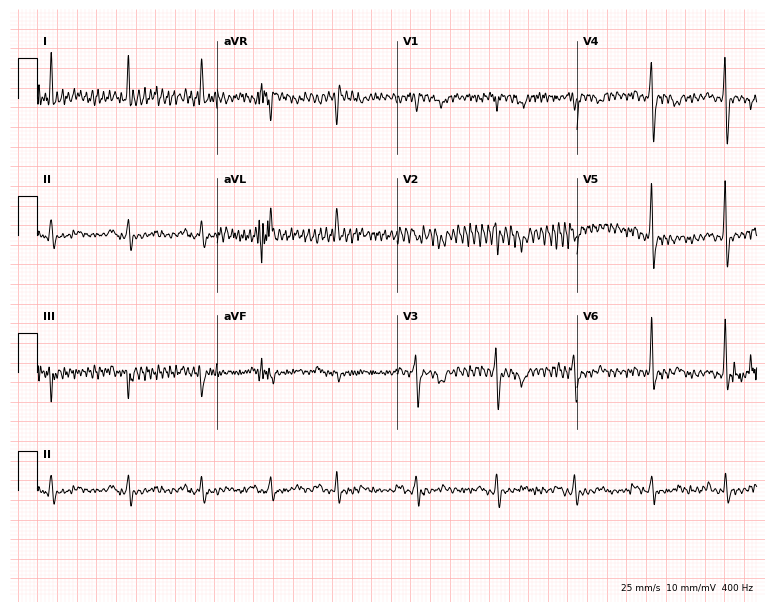
12-lead ECG from a 76-year-old woman. No first-degree AV block, right bundle branch block (RBBB), left bundle branch block (LBBB), sinus bradycardia, atrial fibrillation (AF) or sinus tachycardia recorded for this tracing.